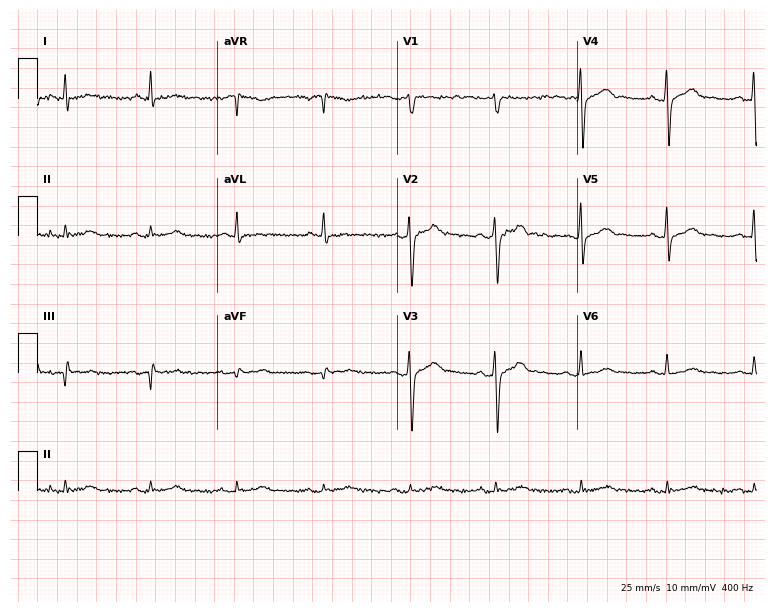
12-lead ECG from a 62-year-old male. Labelled as a normal ECG.